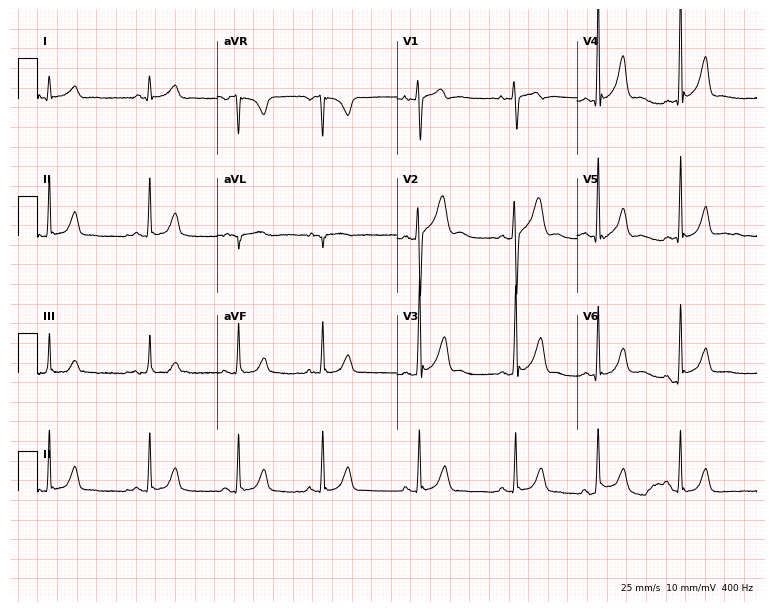
12-lead ECG from a 22-year-old man. Recorded interpretation: within normal limits.